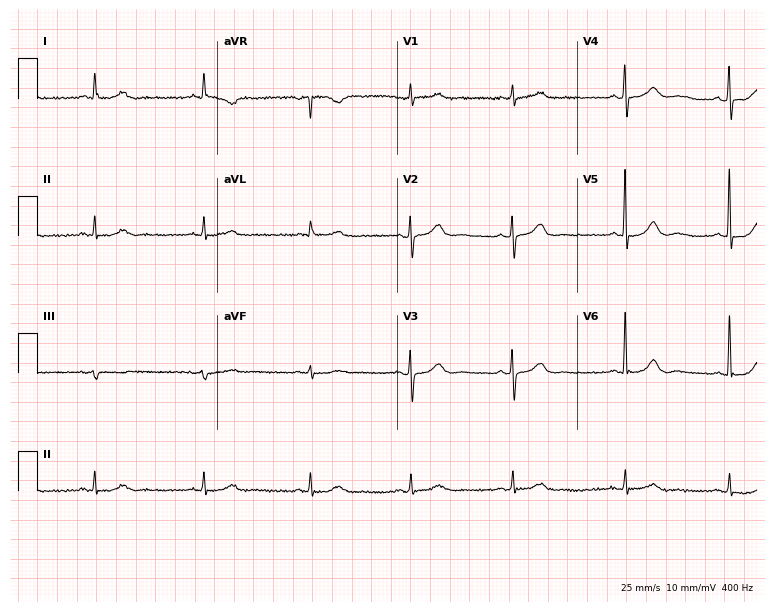
ECG (7.3-second recording at 400 Hz) — a 78-year-old female patient. Labelled as a normal ECG.